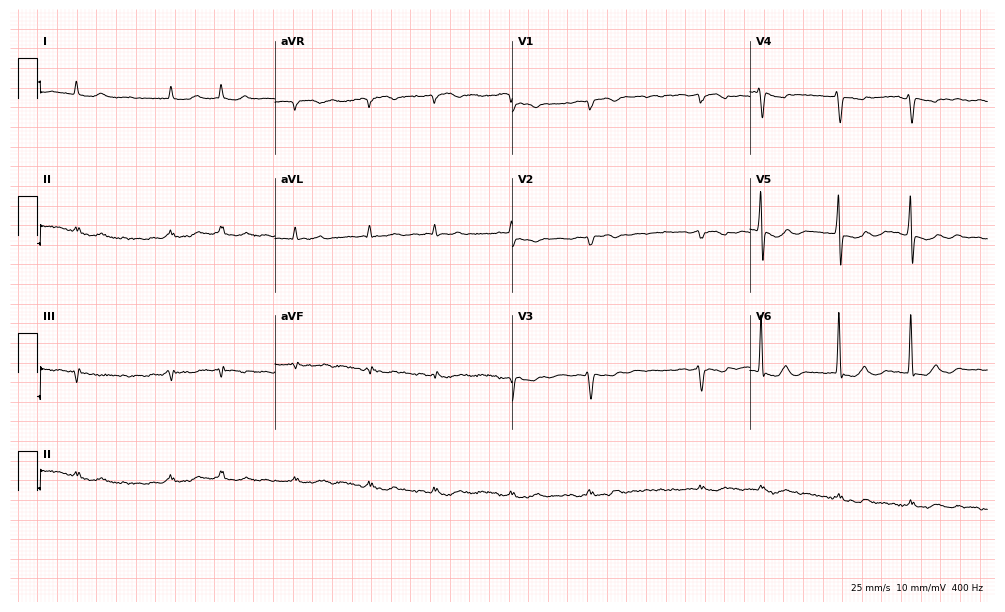
Resting 12-lead electrocardiogram. Patient: an 84-year-old man. The tracing shows atrial fibrillation.